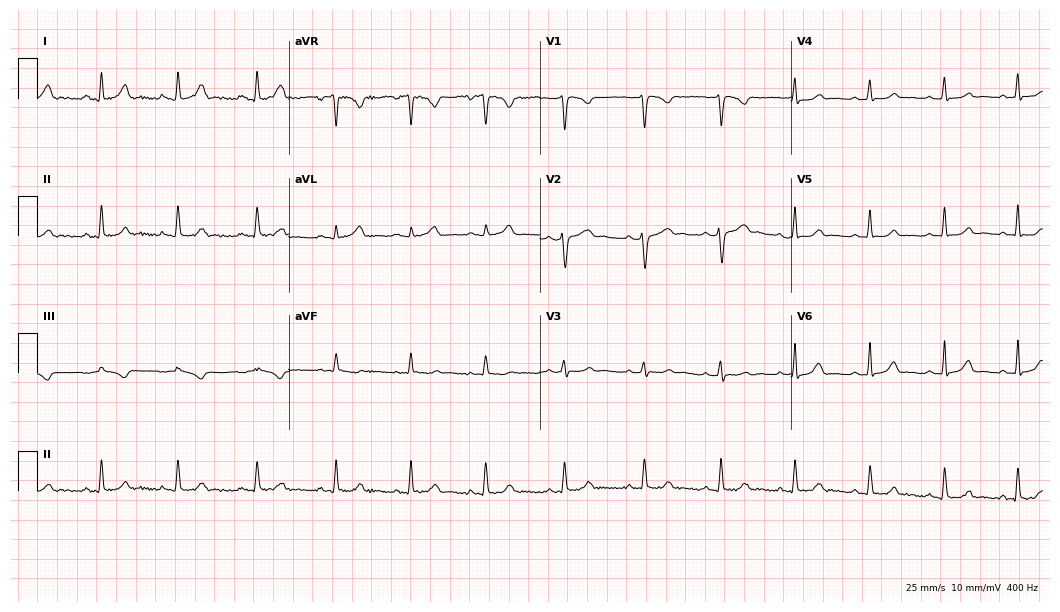
12-lead ECG from a 24-year-old female. Recorded interpretation: within normal limits.